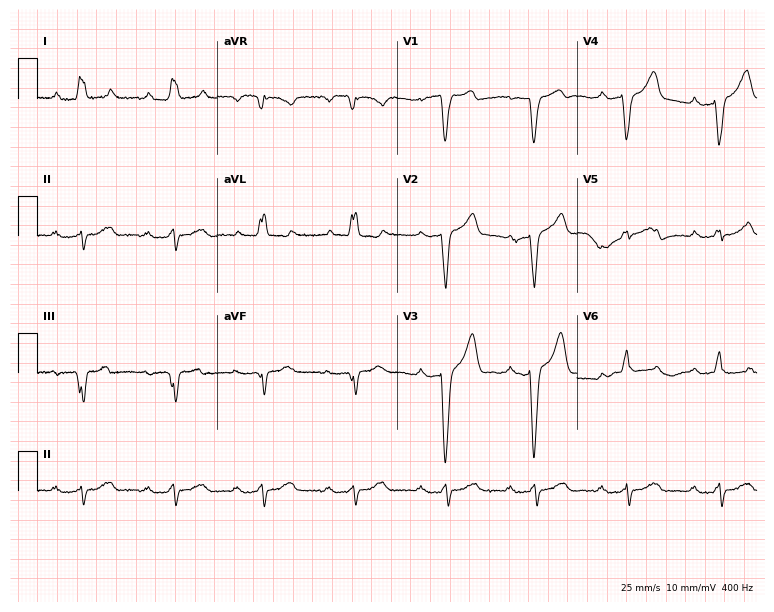
Standard 12-lead ECG recorded from a man, 52 years old. The tracing shows first-degree AV block, left bundle branch block.